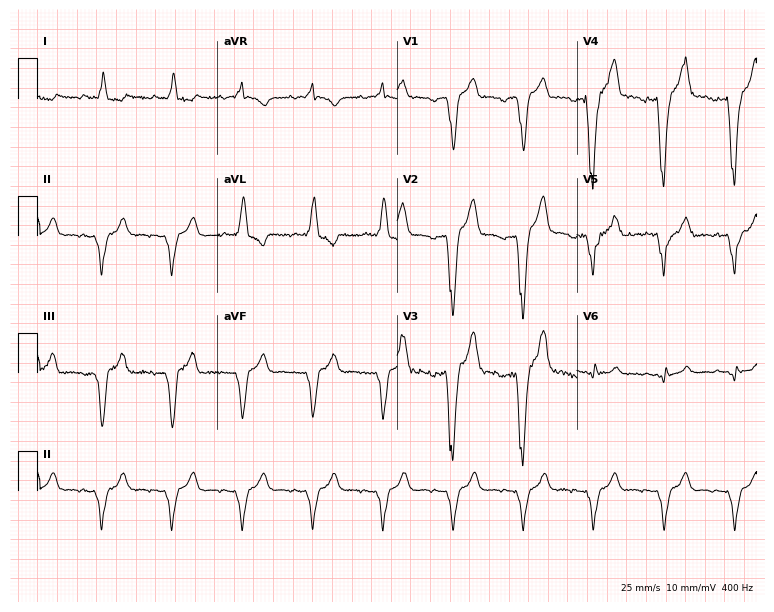
Standard 12-lead ECG recorded from an 80-year-old male patient. None of these six findings is recorded: first-degree AV block, right bundle branch block, left bundle branch block, sinus bradycardia, atrial fibrillation, sinus tachycardia.